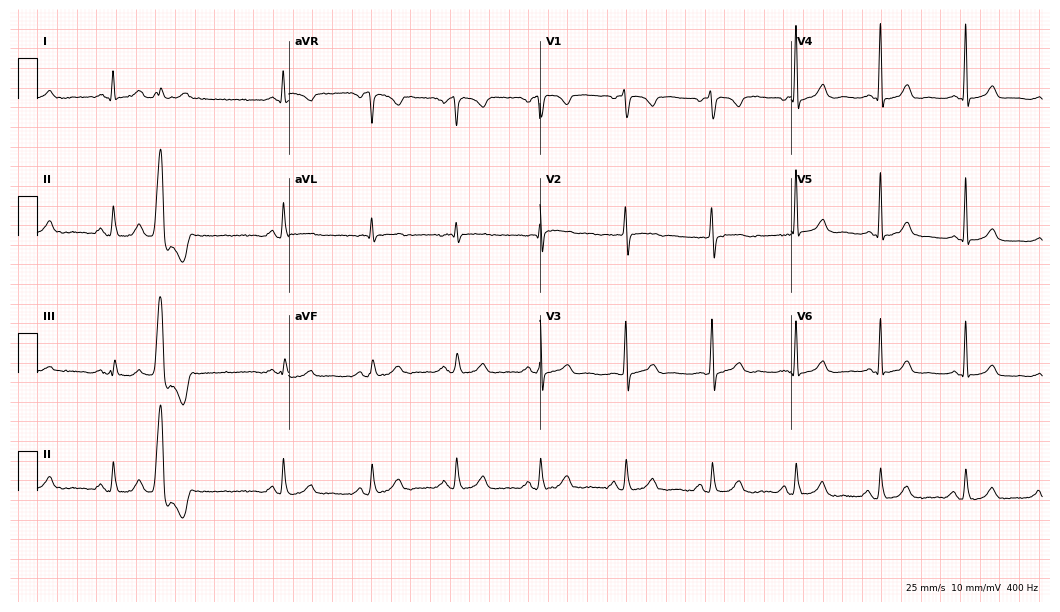
12-lead ECG (10.2-second recording at 400 Hz) from a female, 69 years old. Screened for six findings — first-degree AV block, right bundle branch block, left bundle branch block, sinus bradycardia, atrial fibrillation, sinus tachycardia — none is recorded.